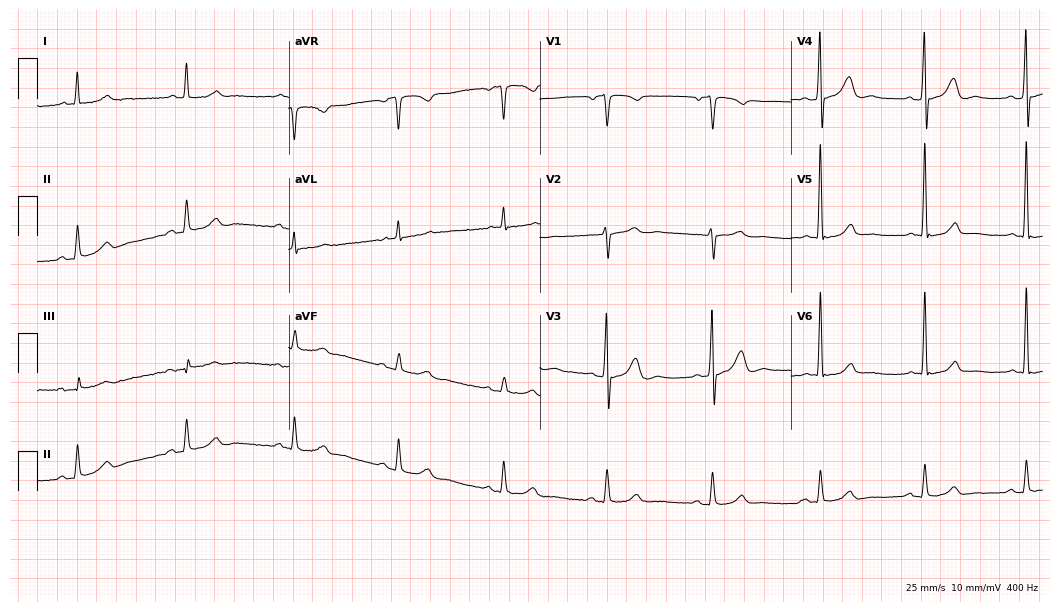
ECG (10.2-second recording at 400 Hz) — a 74-year-old male patient. Screened for six findings — first-degree AV block, right bundle branch block (RBBB), left bundle branch block (LBBB), sinus bradycardia, atrial fibrillation (AF), sinus tachycardia — none is recorded.